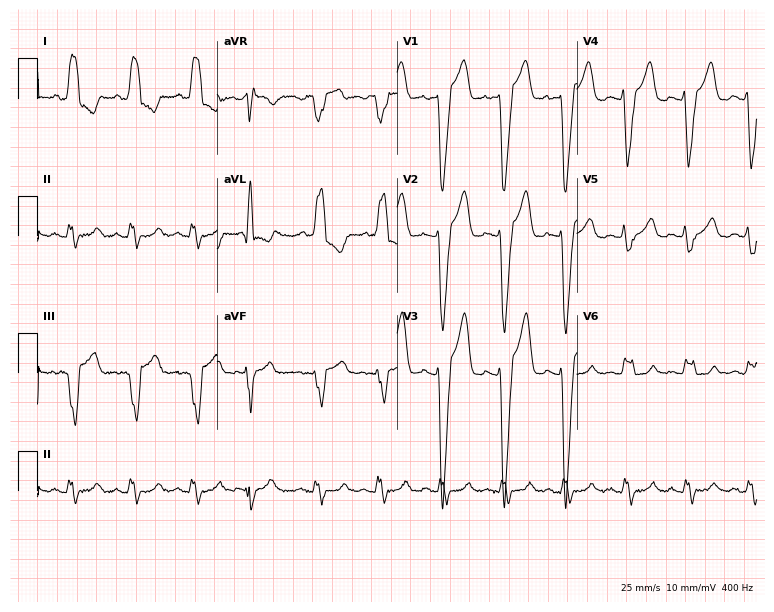
12-lead ECG from a 58-year-old woman. Shows left bundle branch block.